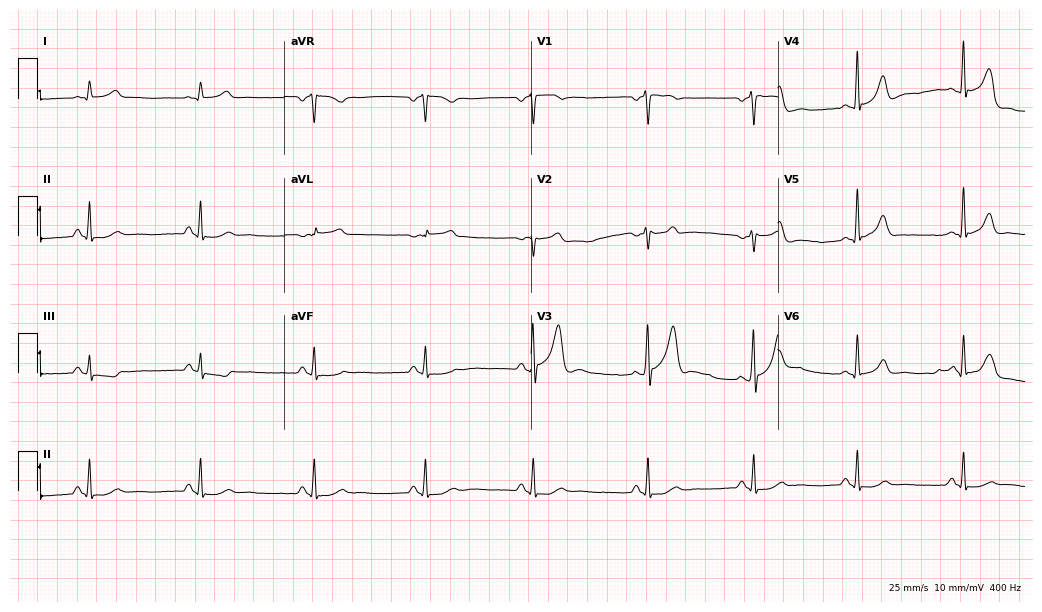
12-lead ECG from a 57-year-old male (10.1-second recording at 400 Hz). No first-degree AV block, right bundle branch block, left bundle branch block, sinus bradycardia, atrial fibrillation or sinus tachycardia recorded for this tracing. Other findings, if any, are not listed.